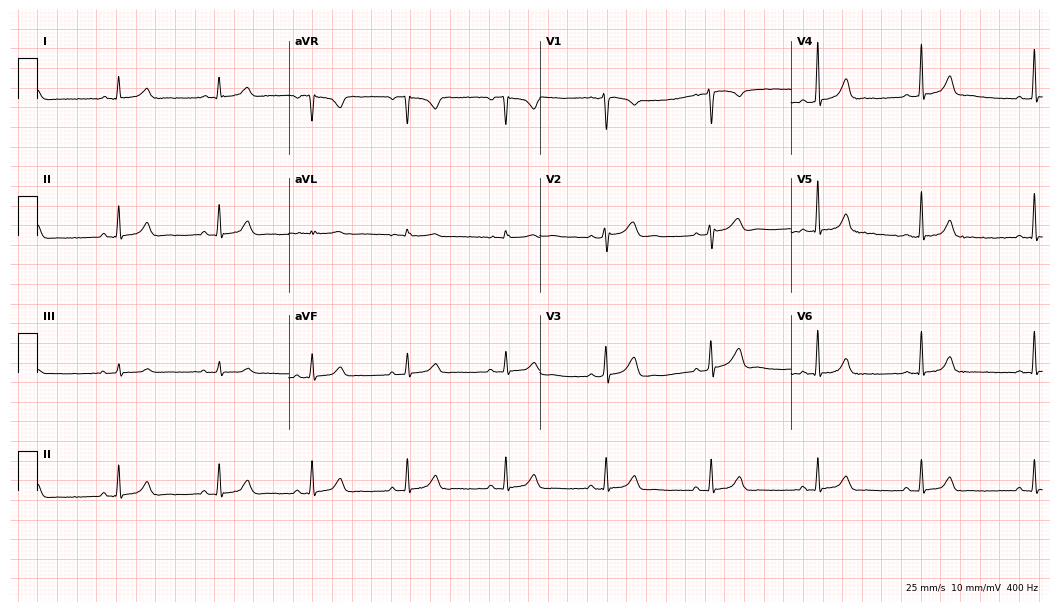
12-lead ECG from a 39-year-old female patient (10.2-second recording at 400 Hz). Recorded interpretation: within normal limits.